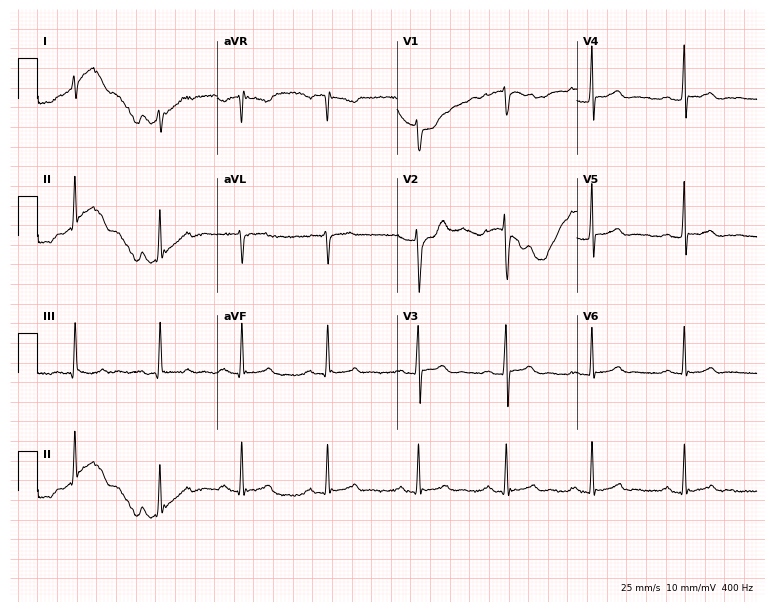
Standard 12-lead ECG recorded from a 41-year-old male patient. None of these six findings is recorded: first-degree AV block, right bundle branch block (RBBB), left bundle branch block (LBBB), sinus bradycardia, atrial fibrillation (AF), sinus tachycardia. Other findings, if any, are not listed.